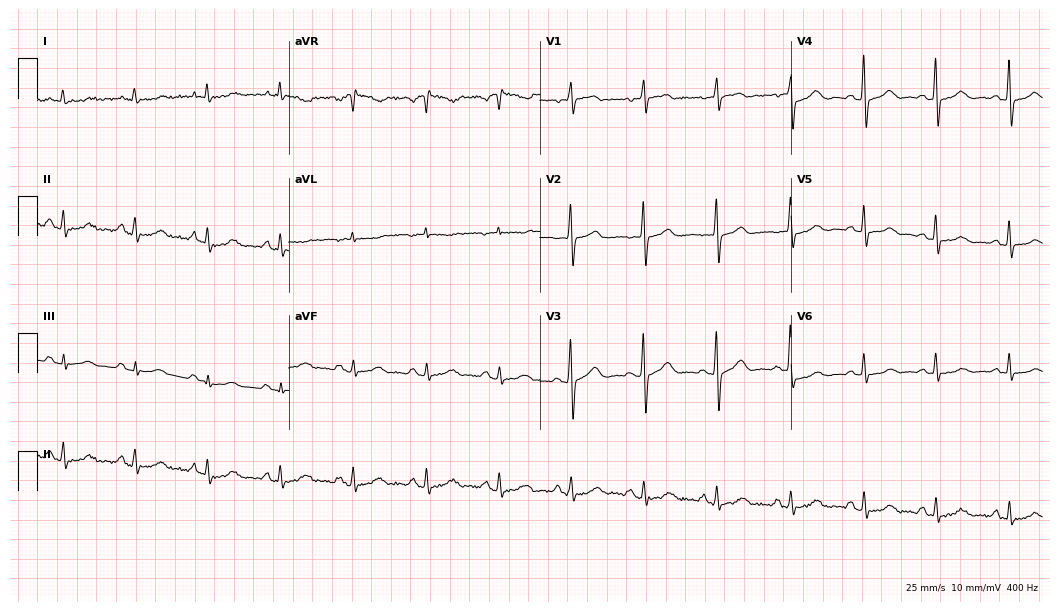
Resting 12-lead electrocardiogram. Patient: a 73-year-old female. None of these six findings is recorded: first-degree AV block, right bundle branch block, left bundle branch block, sinus bradycardia, atrial fibrillation, sinus tachycardia.